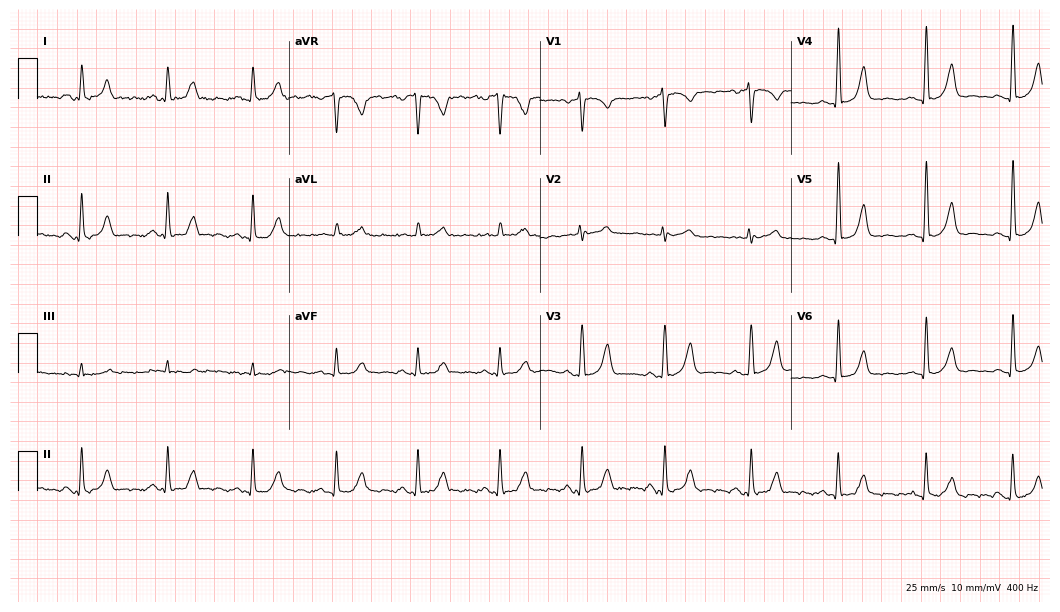
Electrocardiogram, a 66-year-old woman. Overall reading on record: normal ECG.